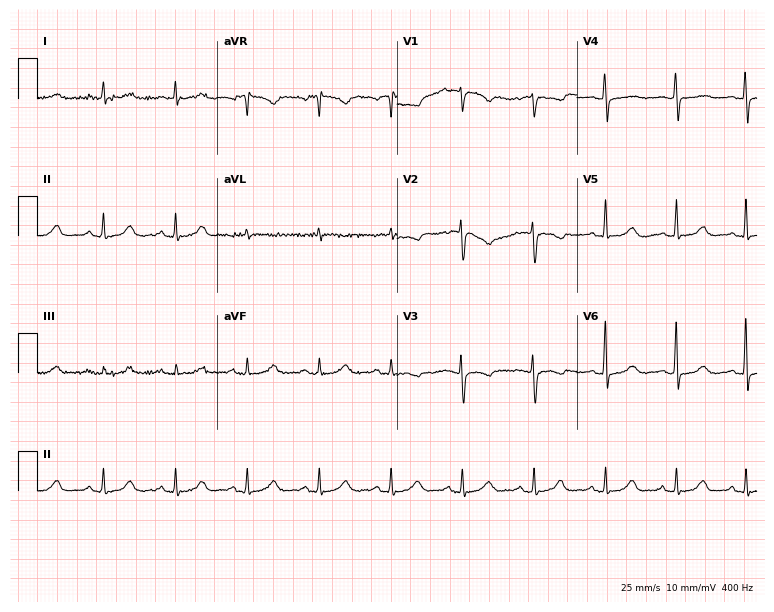
Standard 12-lead ECG recorded from a woman, 58 years old (7.3-second recording at 400 Hz). Read as a normal ECG.